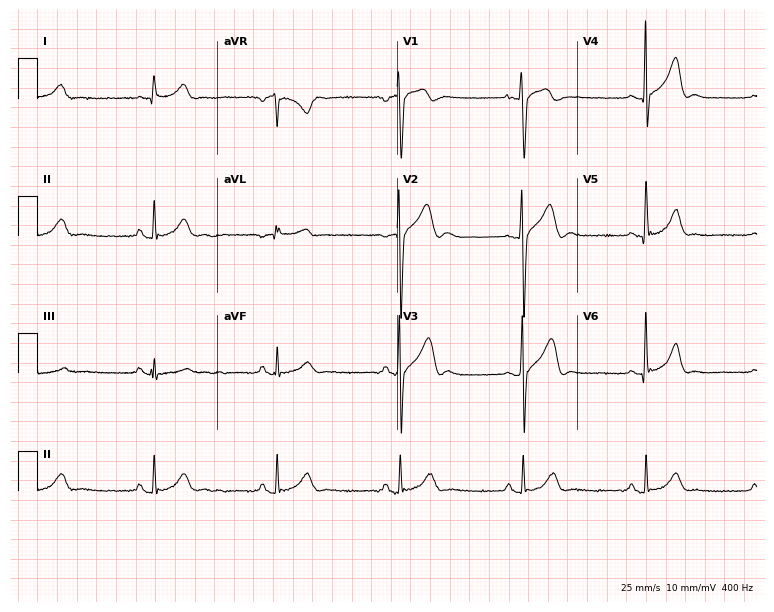
Standard 12-lead ECG recorded from a 30-year-old man. The tracing shows sinus bradycardia (a sinus rate of 50 beats per minute or less).